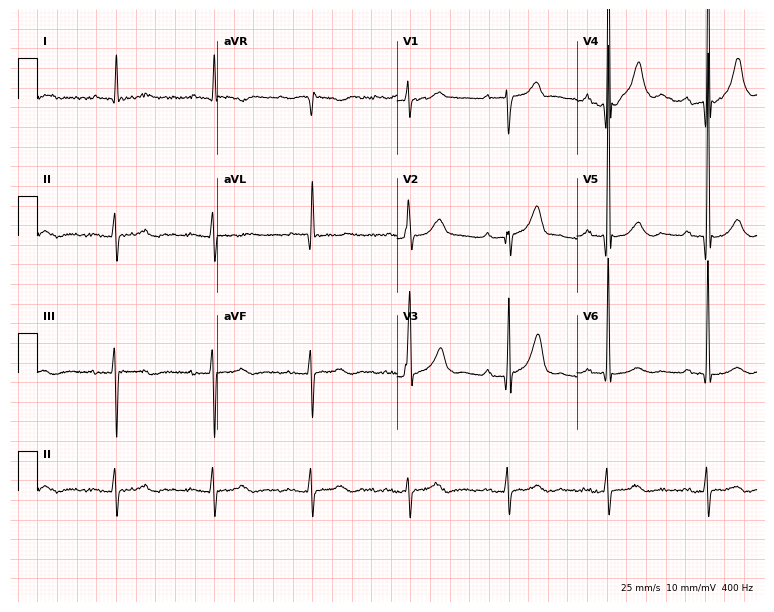
ECG — a male, 84 years old. Screened for six findings — first-degree AV block, right bundle branch block, left bundle branch block, sinus bradycardia, atrial fibrillation, sinus tachycardia — none is recorded.